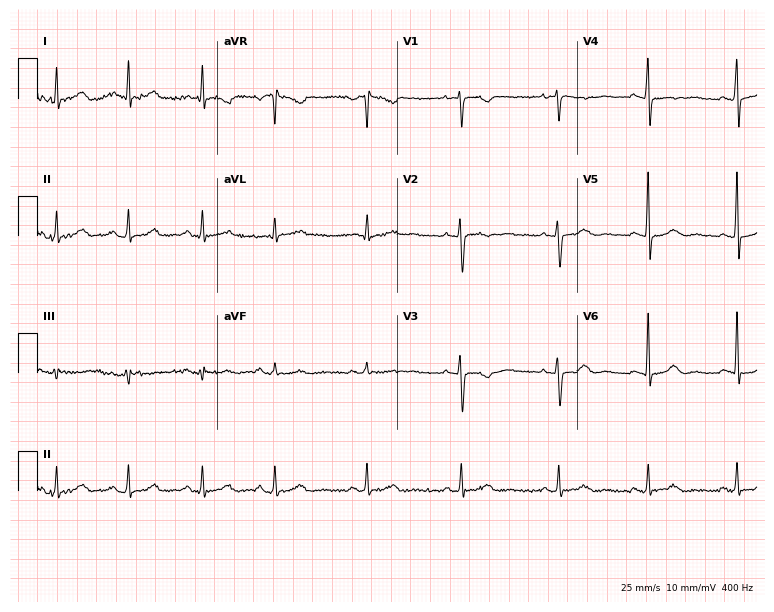
12-lead ECG from a female, 33 years old. Screened for six findings — first-degree AV block, right bundle branch block, left bundle branch block, sinus bradycardia, atrial fibrillation, sinus tachycardia — none is recorded. Findings outside these six are not listed.